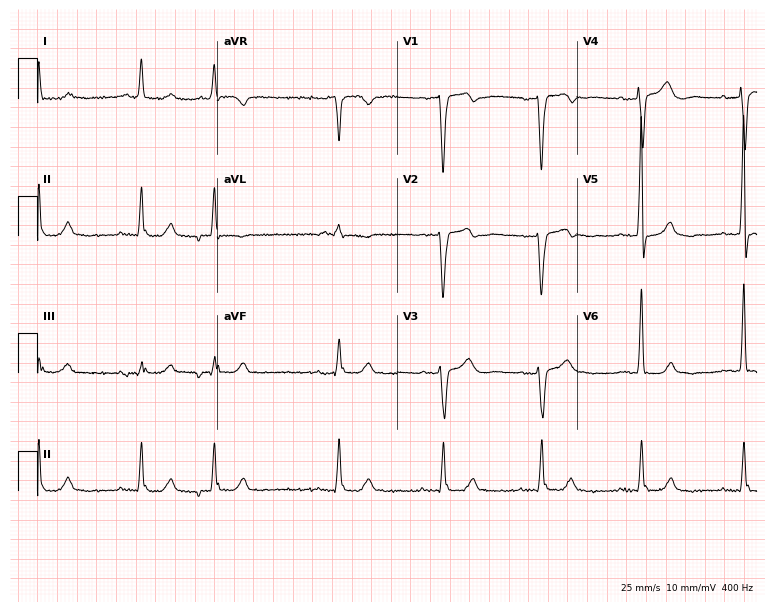
Electrocardiogram, a male patient, 84 years old. Of the six screened findings (first-degree AV block, right bundle branch block, left bundle branch block, sinus bradycardia, atrial fibrillation, sinus tachycardia), none is recorded.